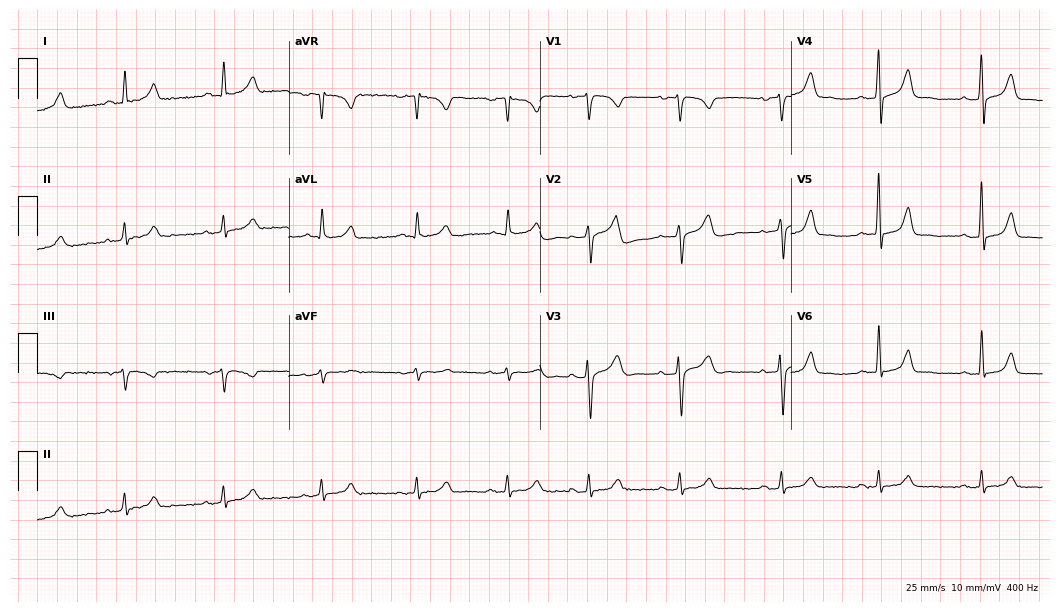
12-lead ECG (10.2-second recording at 400 Hz) from a male, 53 years old. Labelled as a normal ECG.